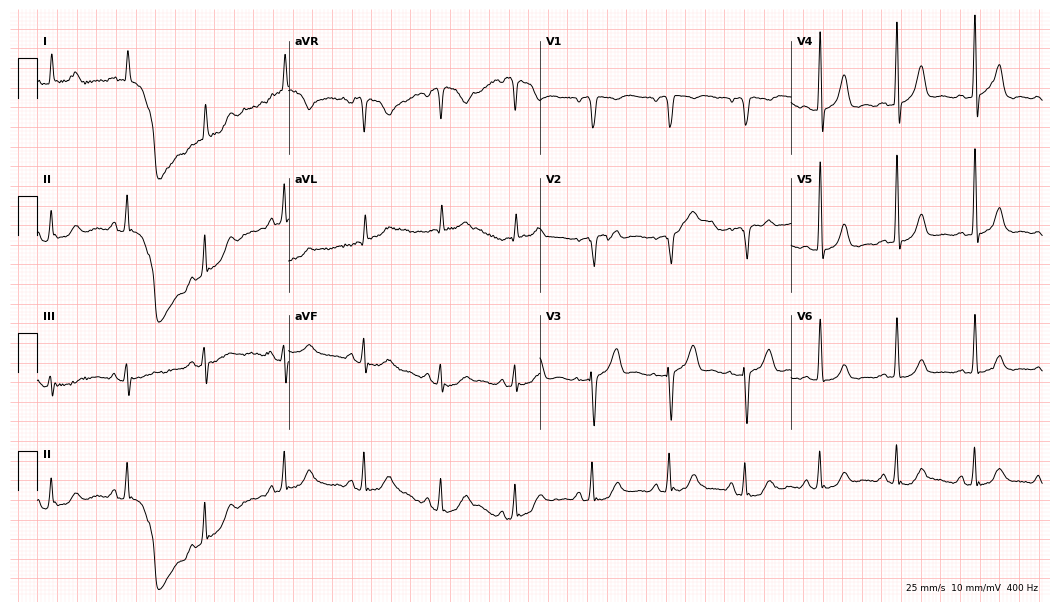
Electrocardiogram (10.2-second recording at 400 Hz), a man, 76 years old. Of the six screened findings (first-degree AV block, right bundle branch block, left bundle branch block, sinus bradycardia, atrial fibrillation, sinus tachycardia), none is recorded.